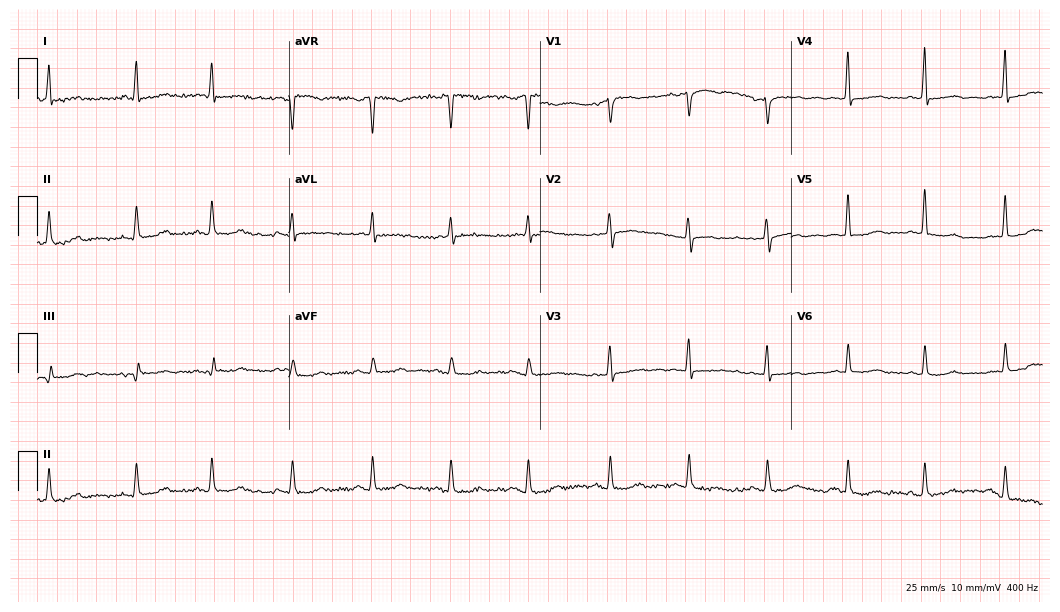
Resting 12-lead electrocardiogram (10.2-second recording at 400 Hz). Patient: a female, 64 years old. None of these six findings is recorded: first-degree AV block, right bundle branch block, left bundle branch block, sinus bradycardia, atrial fibrillation, sinus tachycardia. Other findings, if any, are not listed.